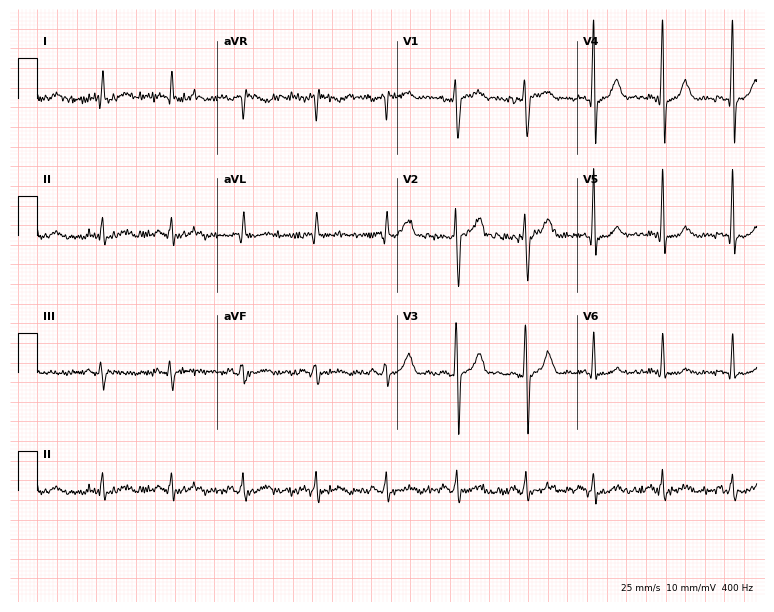
Resting 12-lead electrocardiogram. Patient: a 68-year-old male. Read as a normal ECG.